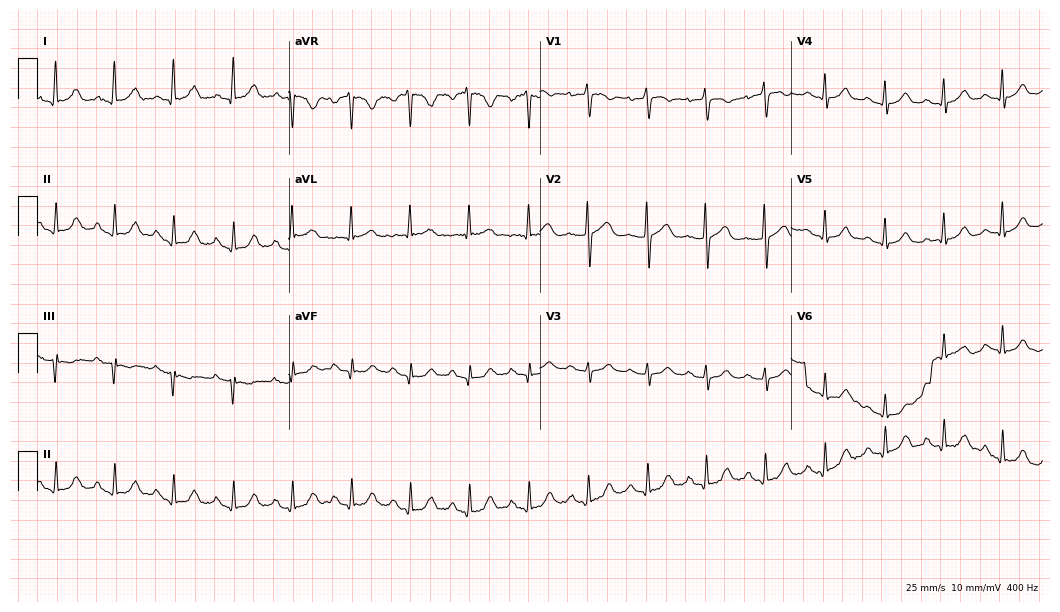
ECG (10.2-second recording at 400 Hz) — an 81-year-old woman. Labelled as a normal ECG.